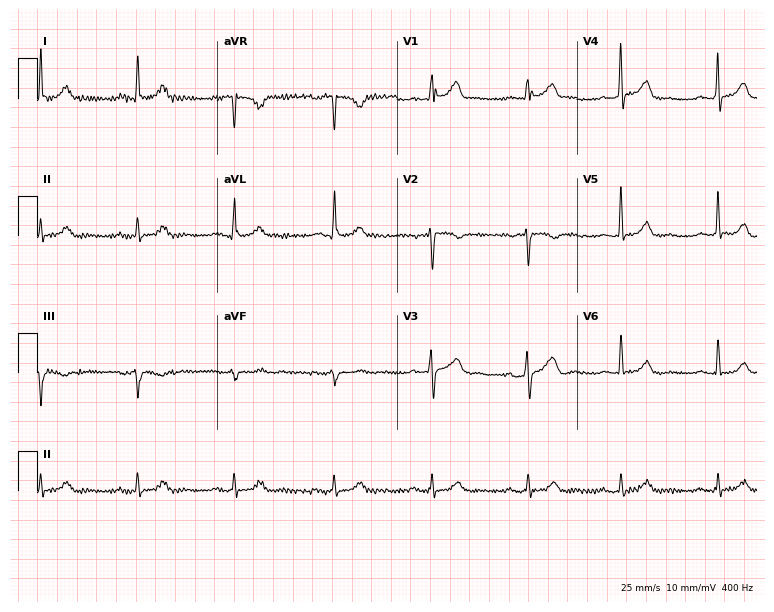
12-lead ECG (7.3-second recording at 400 Hz) from a 58-year-old man. Labelled as a normal ECG.